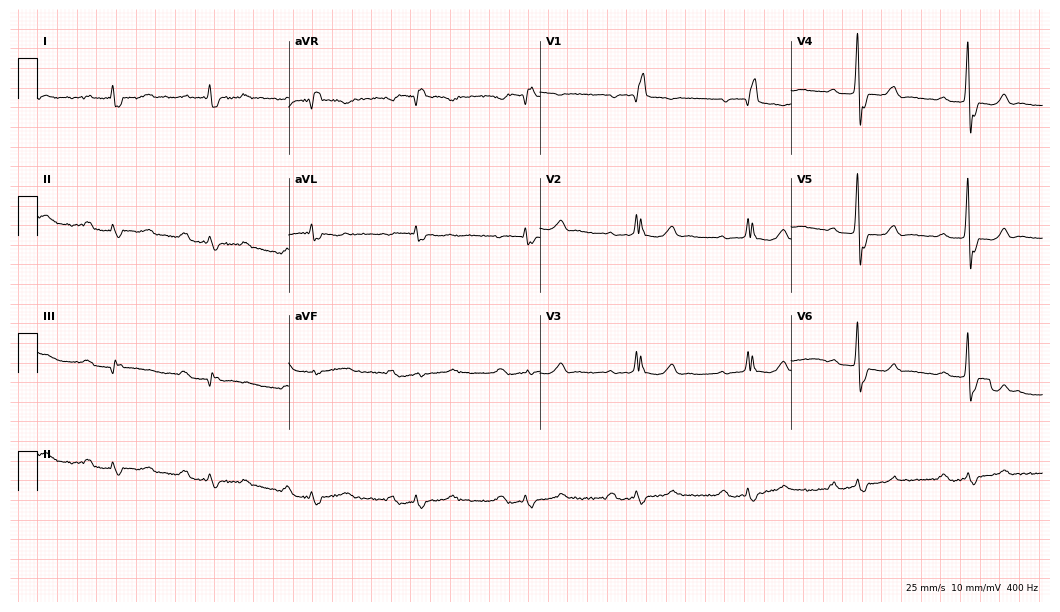
12-lead ECG from a male patient, 85 years old. Shows right bundle branch block (RBBB).